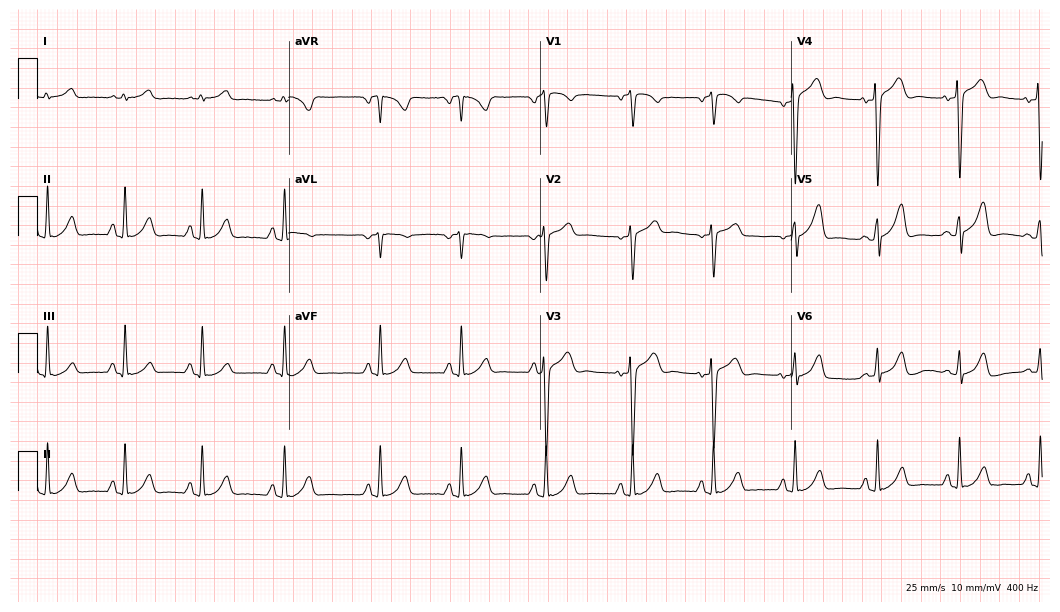
ECG — a man, 23 years old. Screened for six findings — first-degree AV block, right bundle branch block (RBBB), left bundle branch block (LBBB), sinus bradycardia, atrial fibrillation (AF), sinus tachycardia — none is recorded. Only these six findings were labelled.